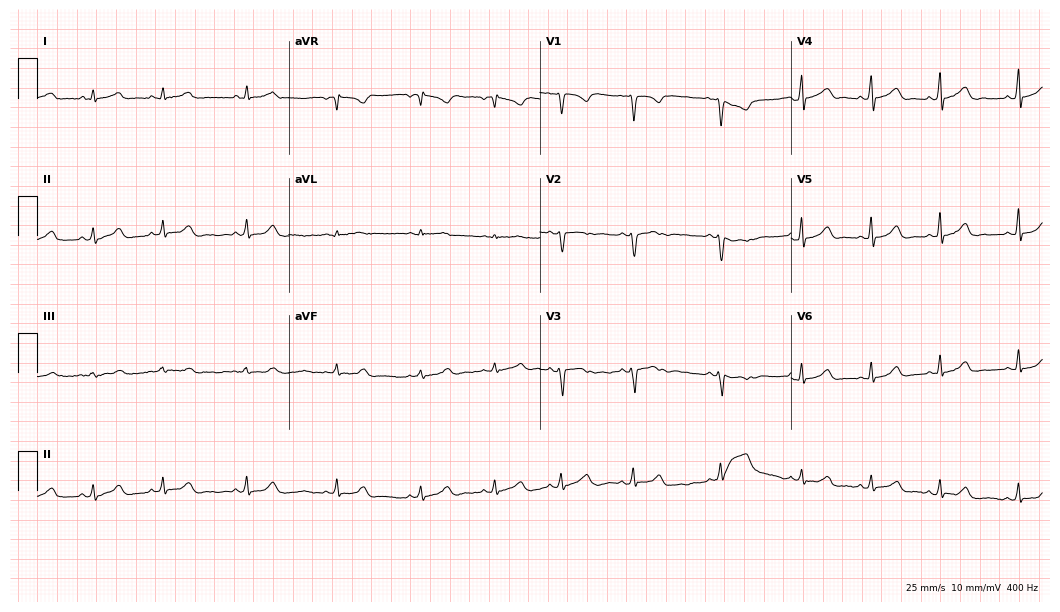
ECG (10.2-second recording at 400 Hz) — a 24-year-old female. Screened for six findings — first-degree AV block, right bundle branch block, left bundle branch block, sinus bradycardia, atrial fibrillation, sinus tachycardia — none is recorded.